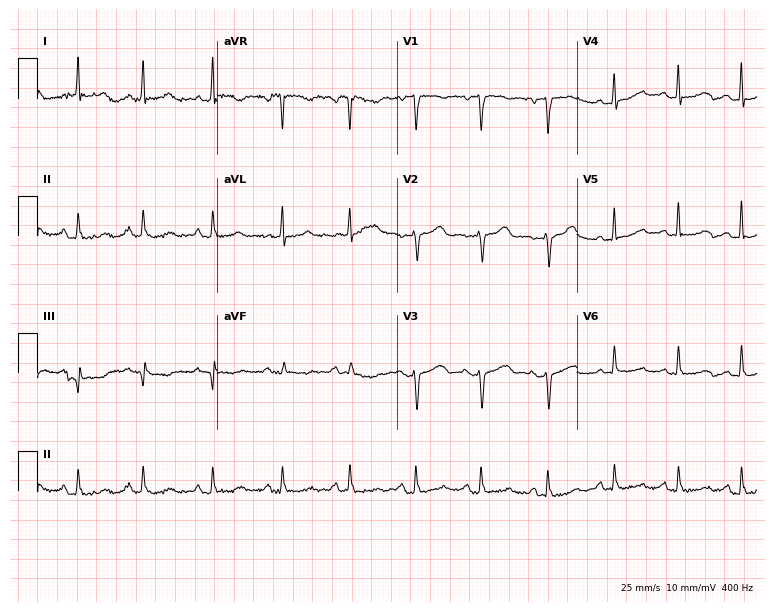
ECG (7.3-second recording at 400 Hz) — a female, 36 years old. Screened for six findings — first-degree AV block, right bundle branch block, left bundle branch block, sinus bradycardia, atrial fibrillation, sinus tachycardia — none is recorded. Only these six findings were labelled.